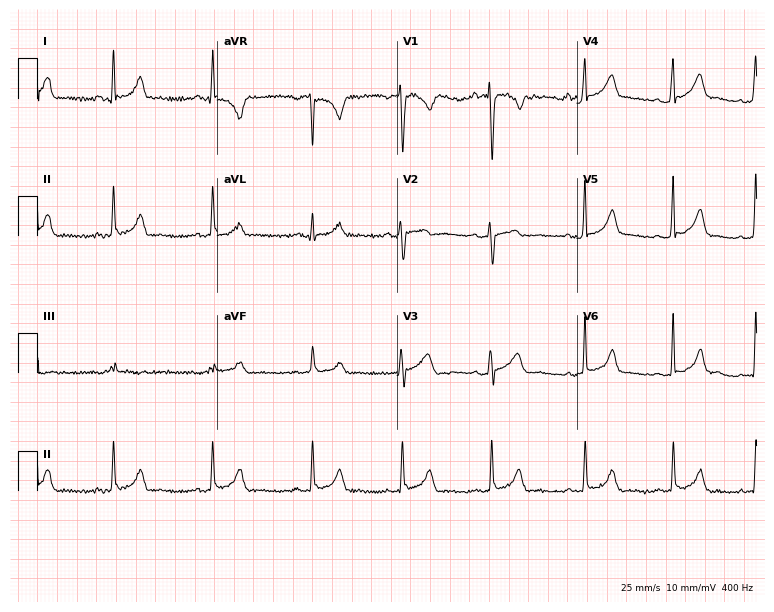
12-lead ECG from a 24-year-old male patient (7.3-second recording at 400 Hz). Recorded interpretation: within normal limits.